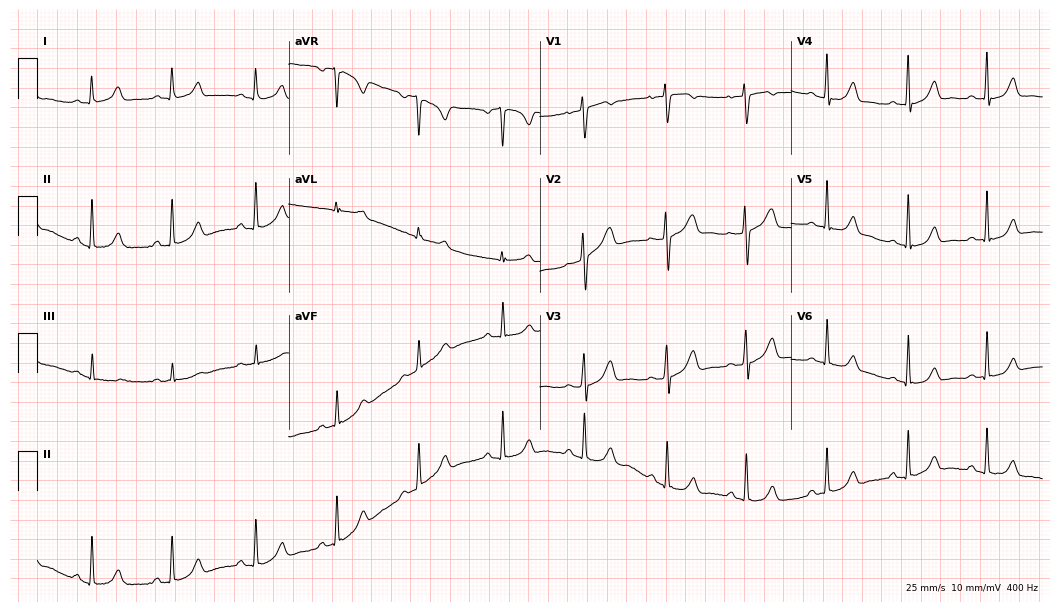
12-lead ECG from a woman, 39 years old. Labelled as a normal ECG.